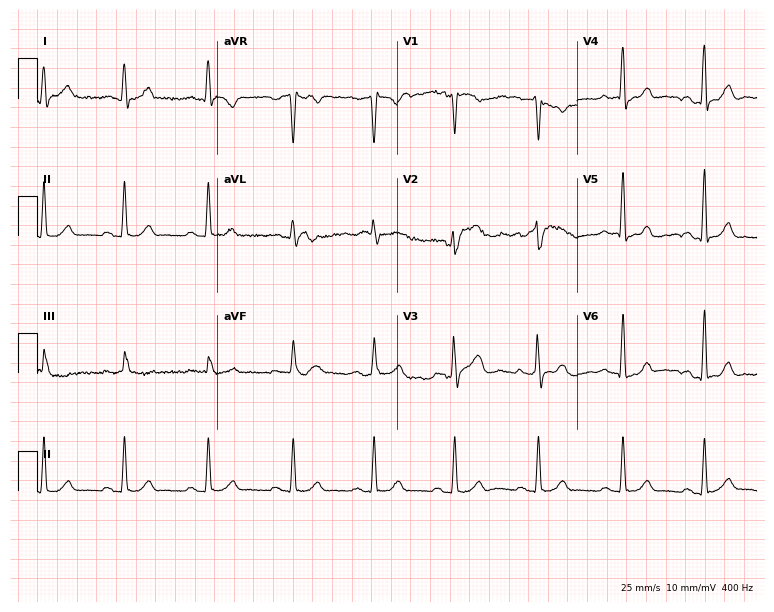
12-lead ECG from a male patient, 45 years old. Labelled as a normal ECG.